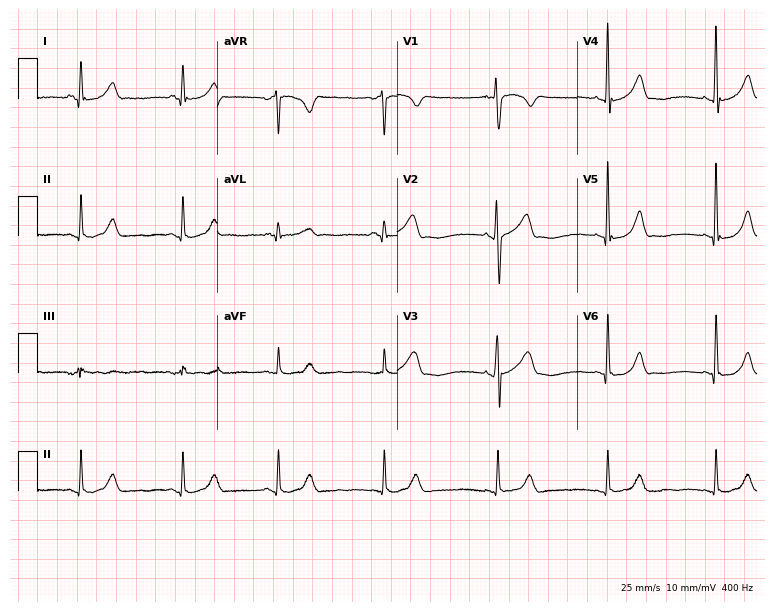
Electrocardiogram, a 21-year-old male patient. Overall reading on record: normal ECG.